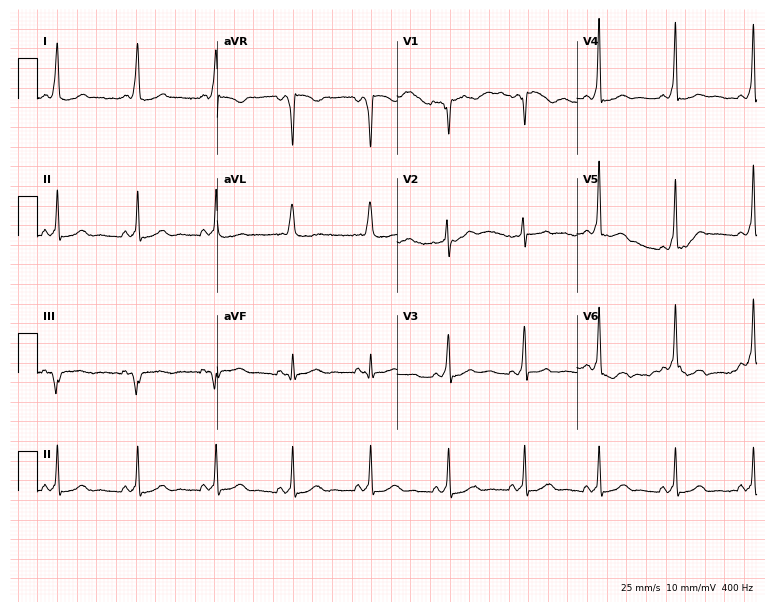
12-lead ECG from a woman, 39 years old (7.3-second recording at 400 Hz). No first-degree AV block, right bundle branch block (RBBB), left bundle branch block (LBBB), sinus bradycardia, atrial fibrillation (AF) or sinus tachycardia recorded for this tracing. Only these six findings were labelled.